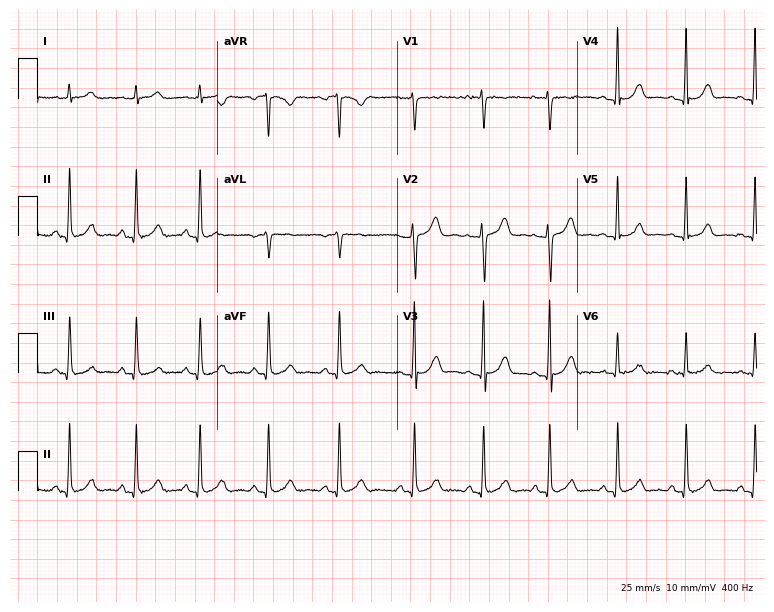
12-lead ECG from a 24-year-old female. Labelled as a normal ECG.